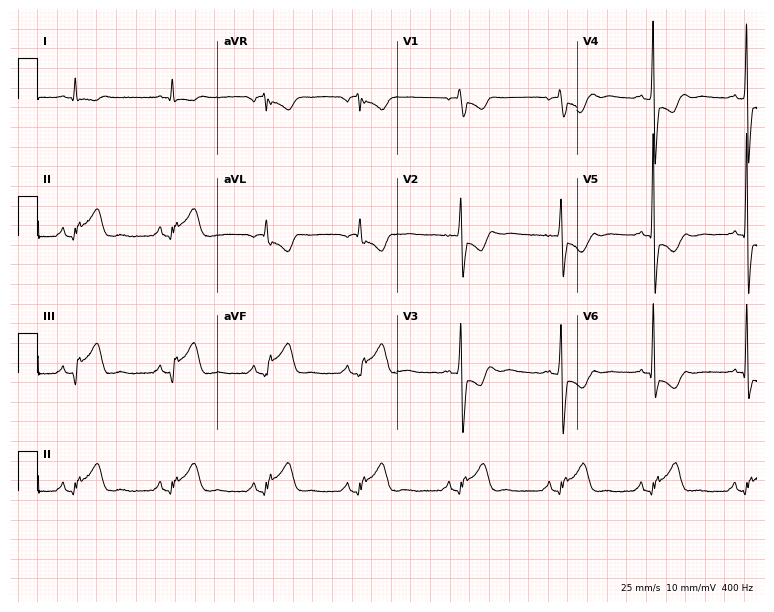
ECG — a 64-year-old man. Screened for six findings — first-degree AV block, right bundle branch block, left bundle branch block, sinus bradycardia, atrial fibrillation, sinus tachycardia — none is recorded.